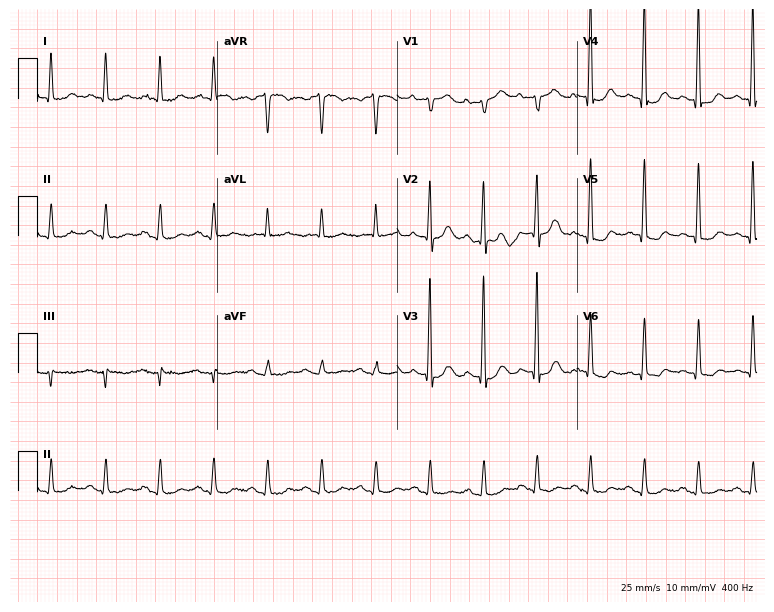
Resting 12-lead electrocardiogram (7.3-second recording at 400 Hz). Patient: an 82-year-old male. The tracing shows sinus tachycardia (a sinus rate of 100 beats per minute or more).